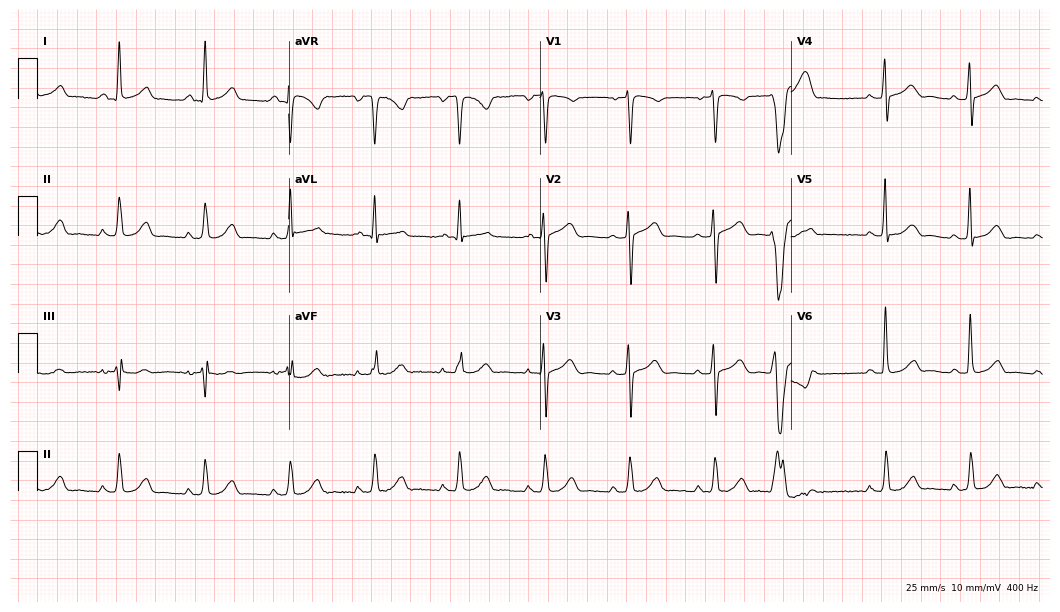
ECG (10.2-second recording at 400 Hz) — a woman, 55 years old. Labelled as a normal ECG.